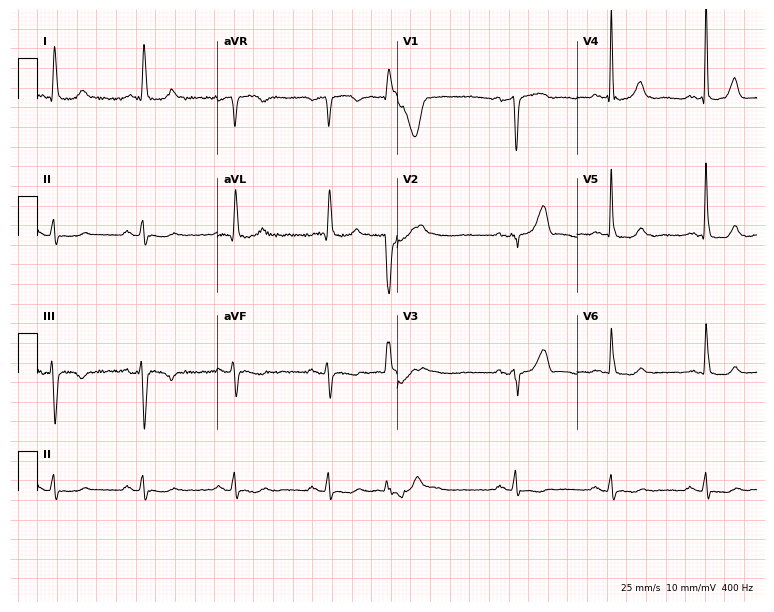
Standard 12-lead ECG recorded from a man, 75 years old (7.3-second recording at 400 Hz). None of these six findings is recorded: first-degree AV block, right bundle branch block, left bundle branch block, sinus bradycardia, atrial fibrillation, sinus tachycardia.